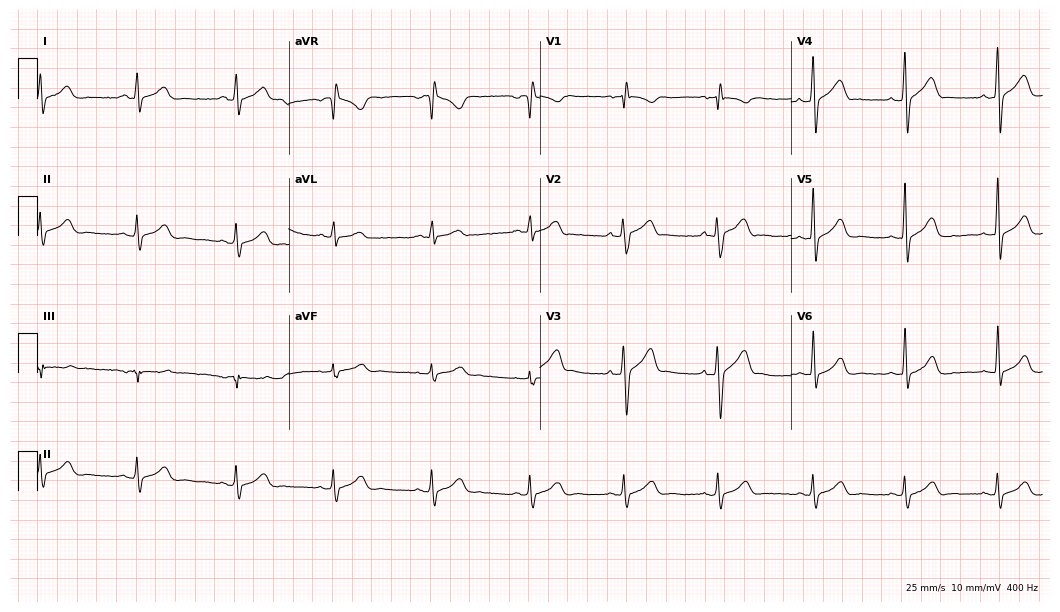
12-lead ECG from a male, 22 years old (10.2-second recording at 400 Hz). No first-degree AV block, right bundle branch block, left bundle branch block, sinus bradycardia, atrial fibrillation or sinus tachycardia recorded for this tracing. Other findings, if any, are not listed.